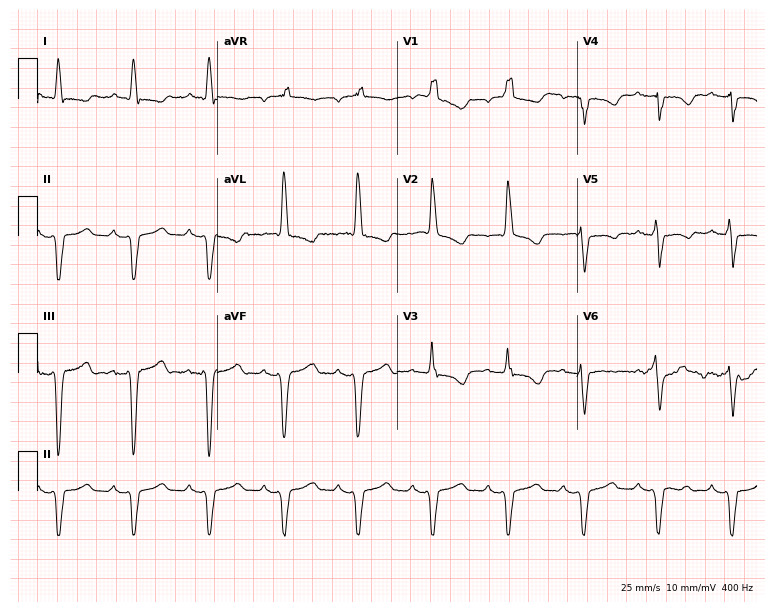
12-lead ECG from an 81-year-old woman. Findings include right bundle branch block (RBBB).